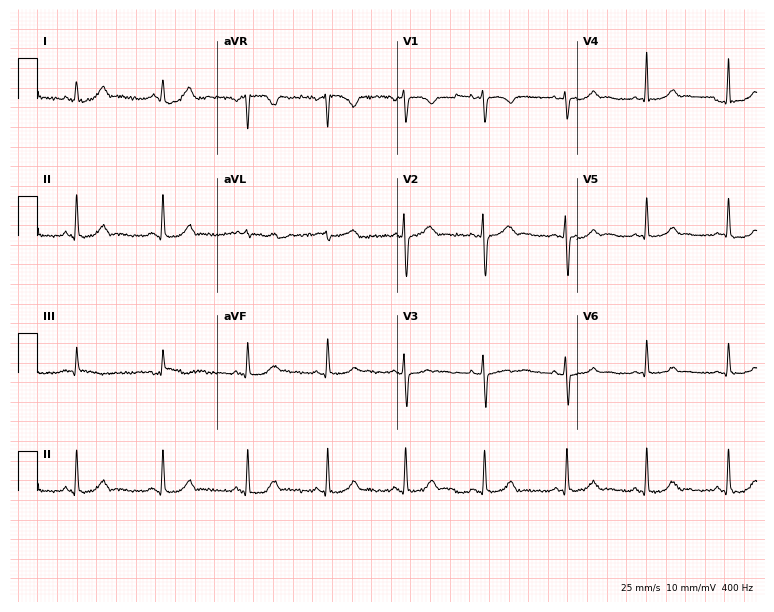
12-lead ECG from a 28-year-old female patient (7.3-second recording at 400 Hz). No first-degree AV block, right bundle branch block, left bundle branch block, sinus bradycardia, atrial fibrillation or sinus tachycardia recorded for this tracing.